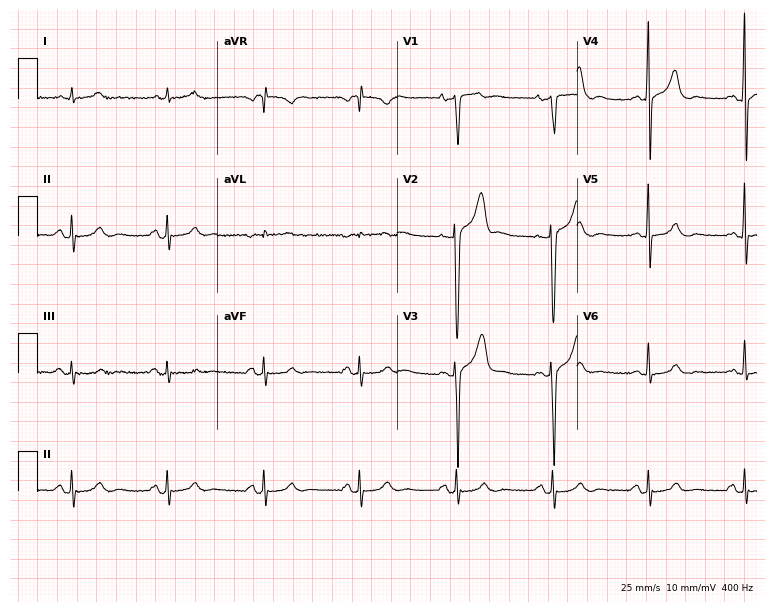
Standard 12-lead ECG recorded from a 71-year-old male patient (7.3-second recording at 400 Hz). Read as a normal ECG.